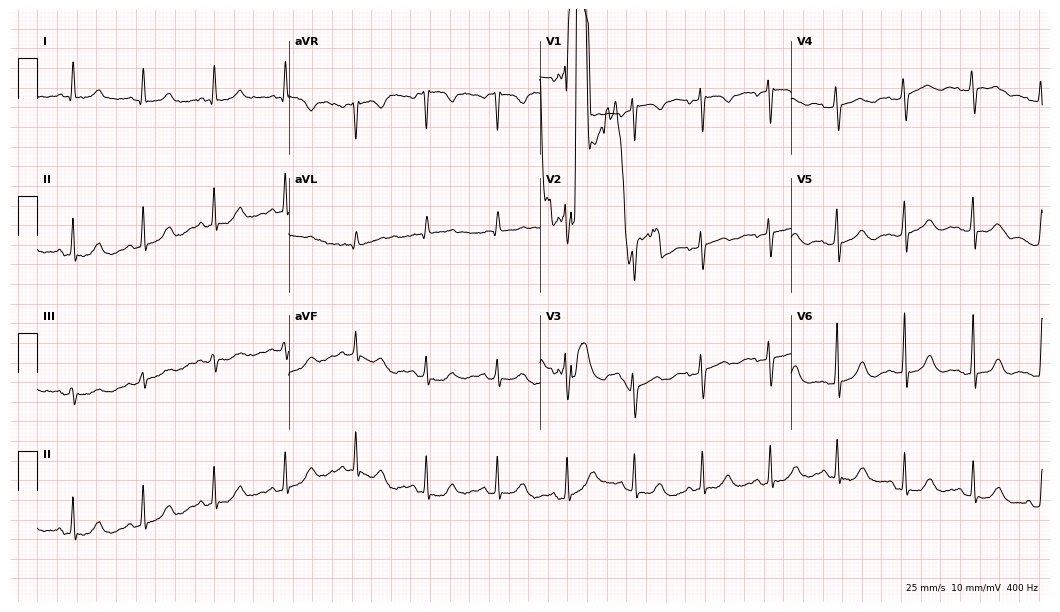
12-lead ECG from a woman, 64 years old (10.2-second recording at 400 Hz). No first-degree AV block, right bundle branch block, left bundle branch block, sinus bradycardia, atrial fibrillation or sinus tachycardia recorded for this tracing.